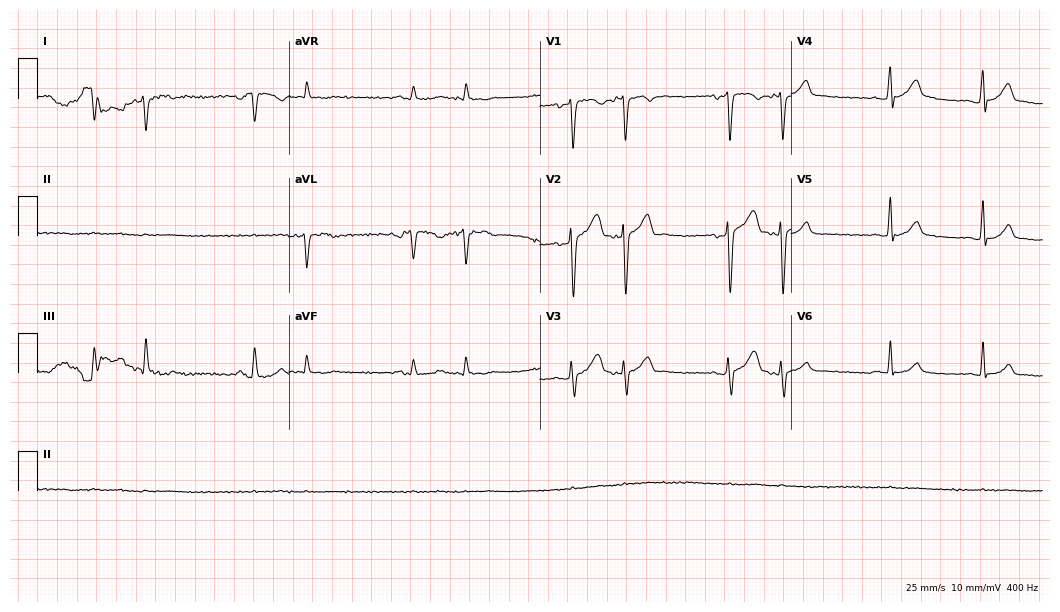
Standard 12-lead ECG recorded from a man, 37 years old (10.2-second recording at 400 Hz). None of these six findings is recorded: first-degree AV block, right bundle branch block, left bundle branch block, sinus bradycardia, atrial fibrillation, sinus tachycardia. Findings outside these six are not listed.